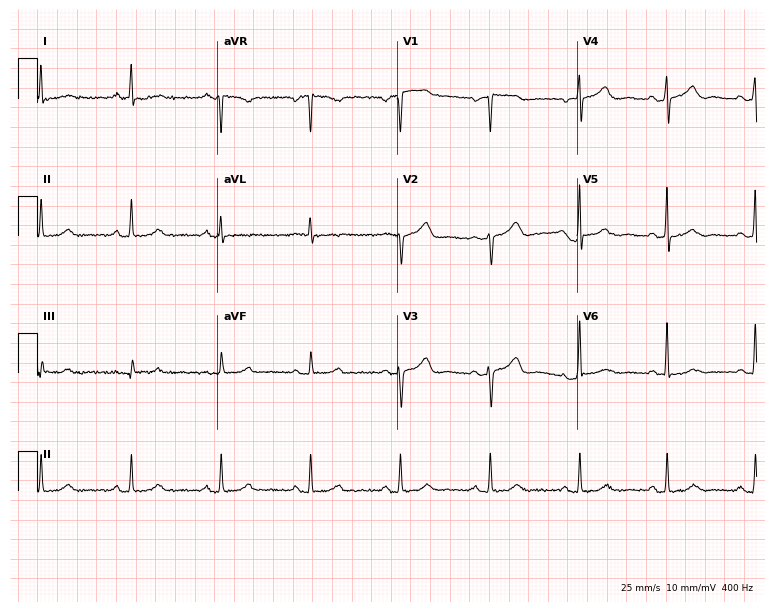
12-lead ECG from a 67-year-old female. Screened for six findings — first-degree AV block, right bundle branch block, left bundle branch block, sinus bradycardia, atrial fibrillation, sinus tachycardia — none is recorded. Other findings, if any, are not listed.